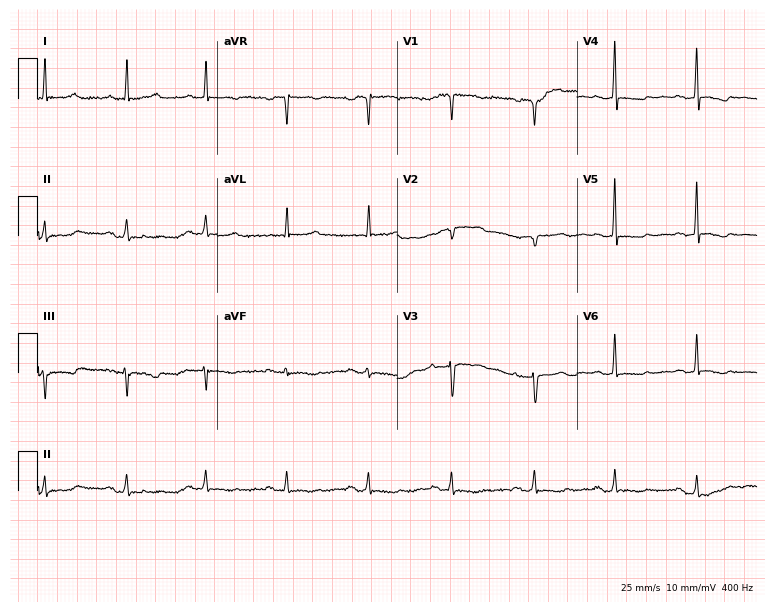
Electrocardiogram (7.3-second recording at 400 Hz), a 58-year-old female patient. Of the six screened findings (first-degree AV block, right bundle branch block, left bundle branch block, sinus bradycardia, atrial fibrillation, sinus tachycardia), none is recorded. Other findings, if any, are not listed.